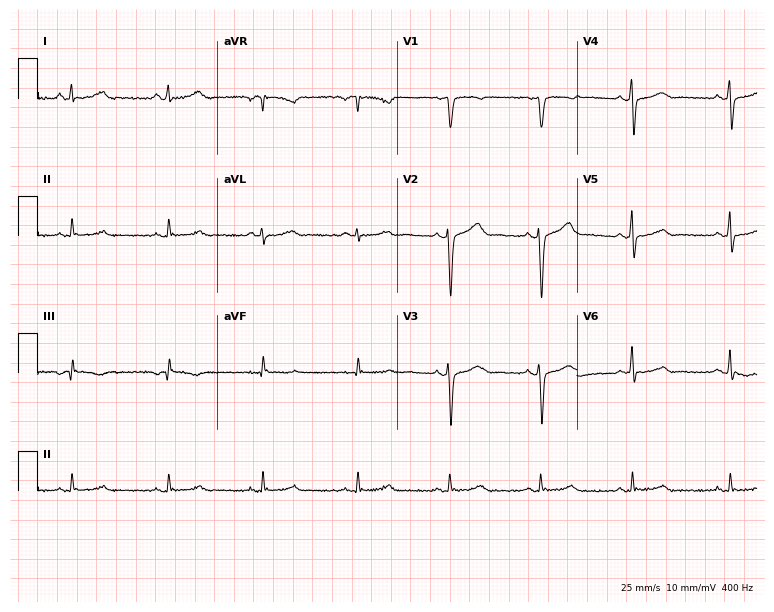
ECG — a male patient, 53 years old. Screened for six findings — first-degree AV block, right bundle branch block, left bundle branch block, sinus bradycardia, atrial fibrillation, sinus tachycardia — none is recorded. Only these six findings were labelled.